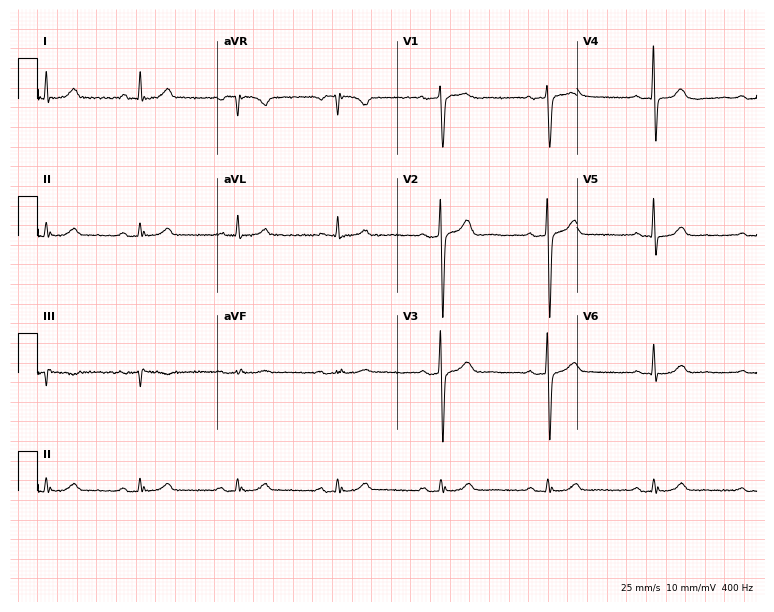
Resting 12-lead electrocardiogram. Patient: a 43-year-old male. Read as a normal ECG.